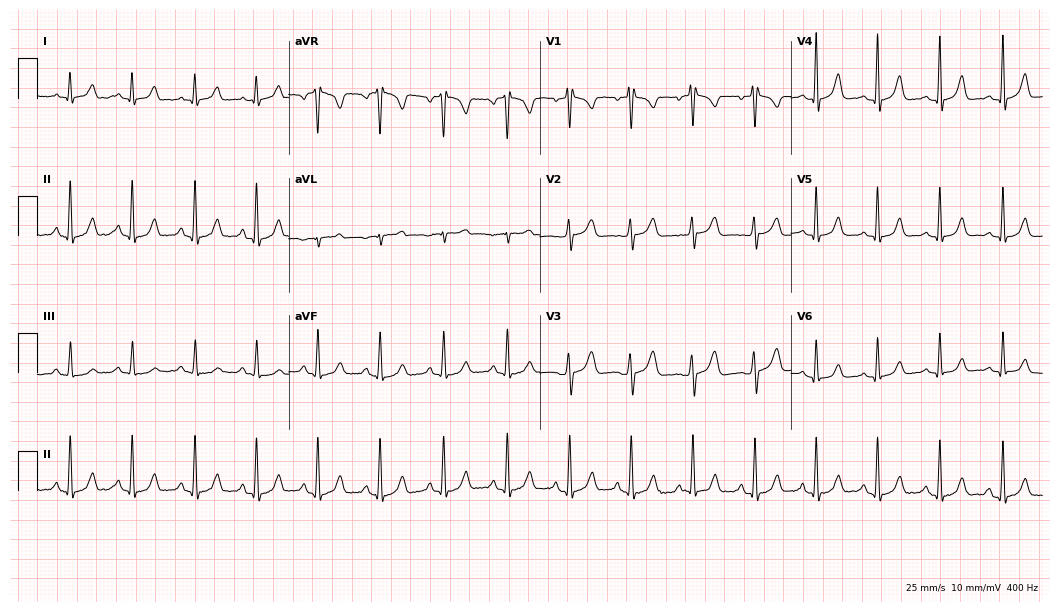
ECG (10.2-second recording at 400 Hz) — a 19-year-old female. Labelled as a normal ECG.